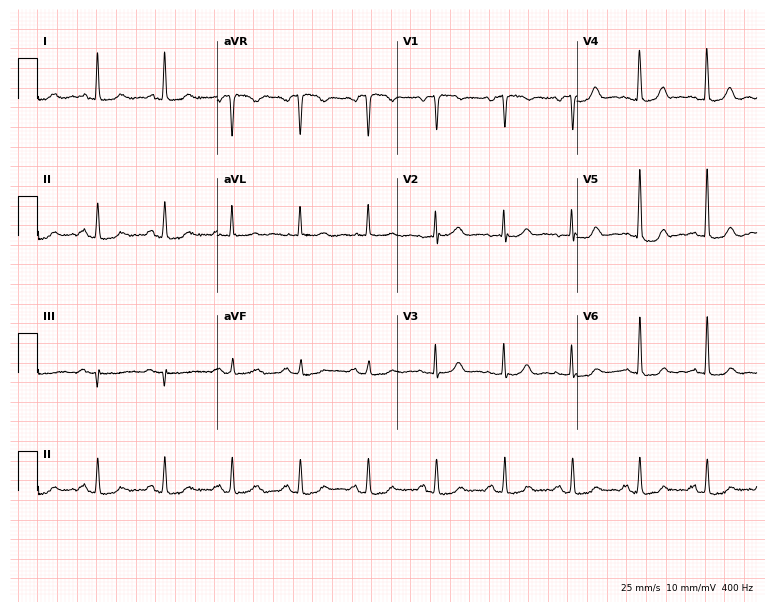
12-lead ECG from a woman, 60 years old. Recorded interpretation: within normal limits.